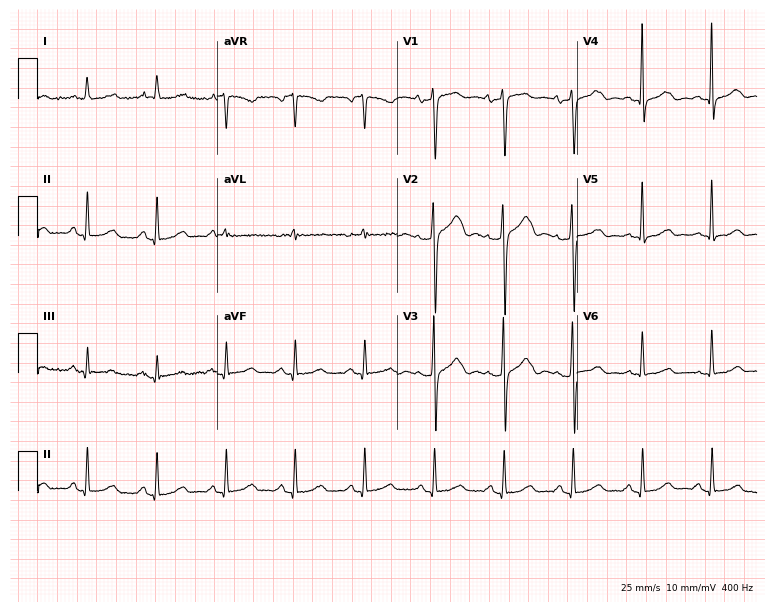
Standard 12-lead ECG recorded from a 68-year-old female. Read as a normal ECG.